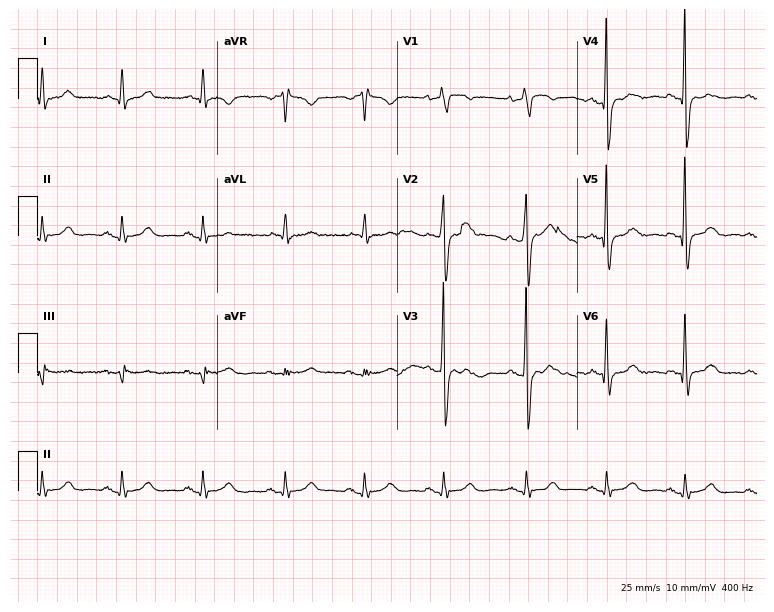
Resting 12-lead electrocardiogram. Patient: a 54-year-old male. None of these six findings is recorded: first-degree AV block, right bundle branch block, left bundle branch block, sinus bradycardia, atrial fibrillation, sinus tachycardia. Only these six findings were labelled.